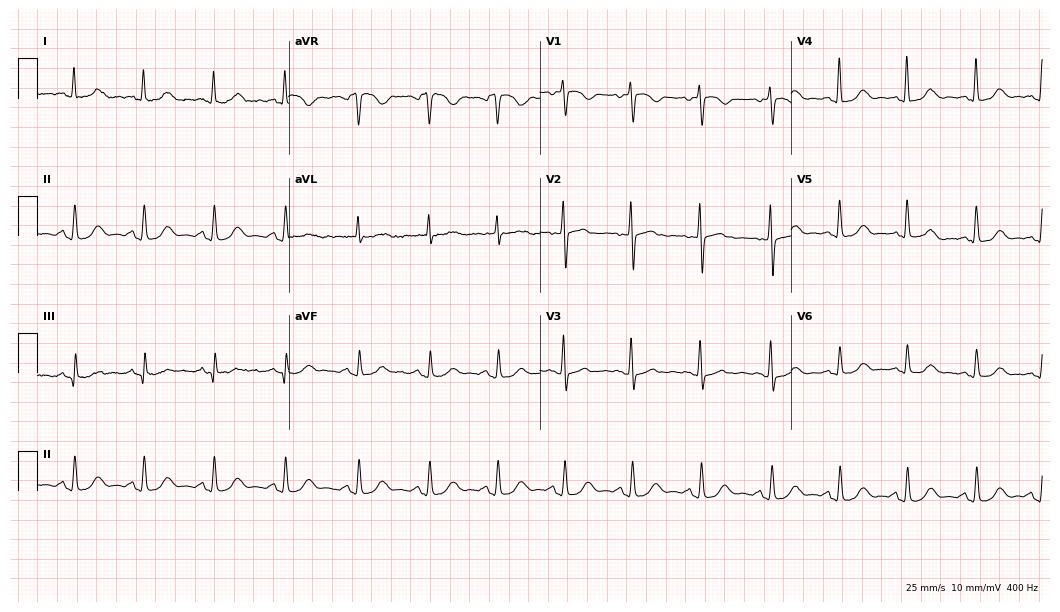
12-lead ECG from a 74-year-old woman. Recorded interpretation: within normal limits.